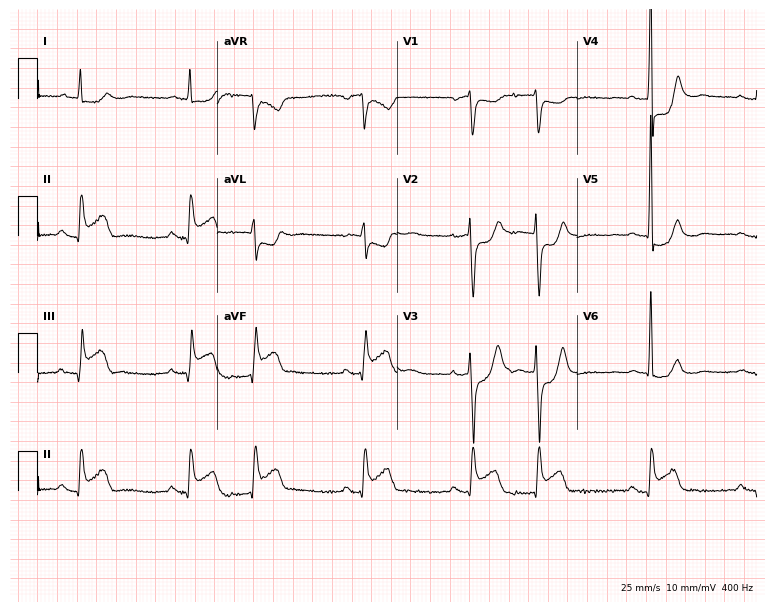
12-lead ECG from a 54-year-old male patient. No first-degree AV block, right bundle branch block (RBBB), left bundle branch block (LBBB), sinus bradycardia, atrial fibrillation (AF) or sinus tachycardia recorded for this tracing. Only these six findings were labelled.